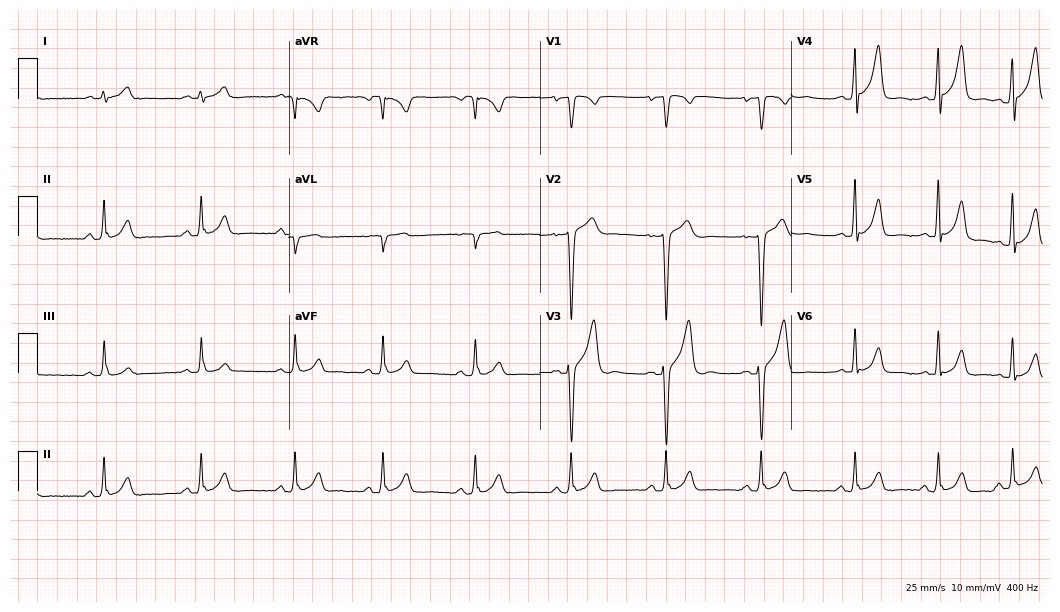
12-lead ECG from a male, 17 years old. Recorded interpretation: within normal limits.